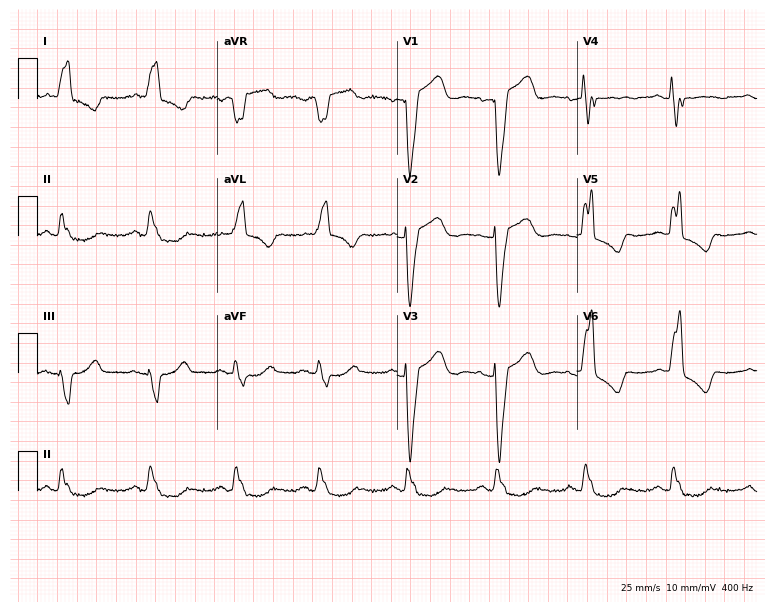
12-lead ECG (7.3-second recording at 400 Hz) from a 78-year-old woman. Findings include left bundle branch block.